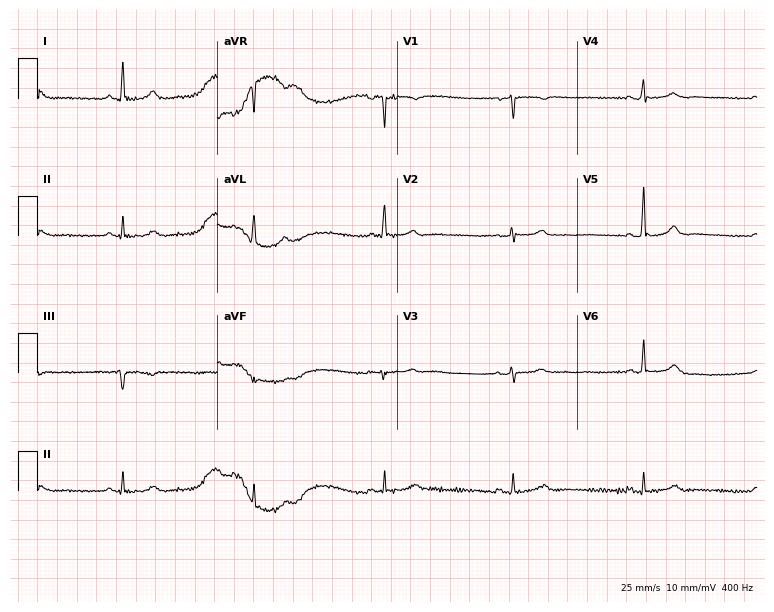
12-lead ECG from a 60-year-old female patient. Shows sinus bradycardia (a sinus rate of 50 beats per minute or less).